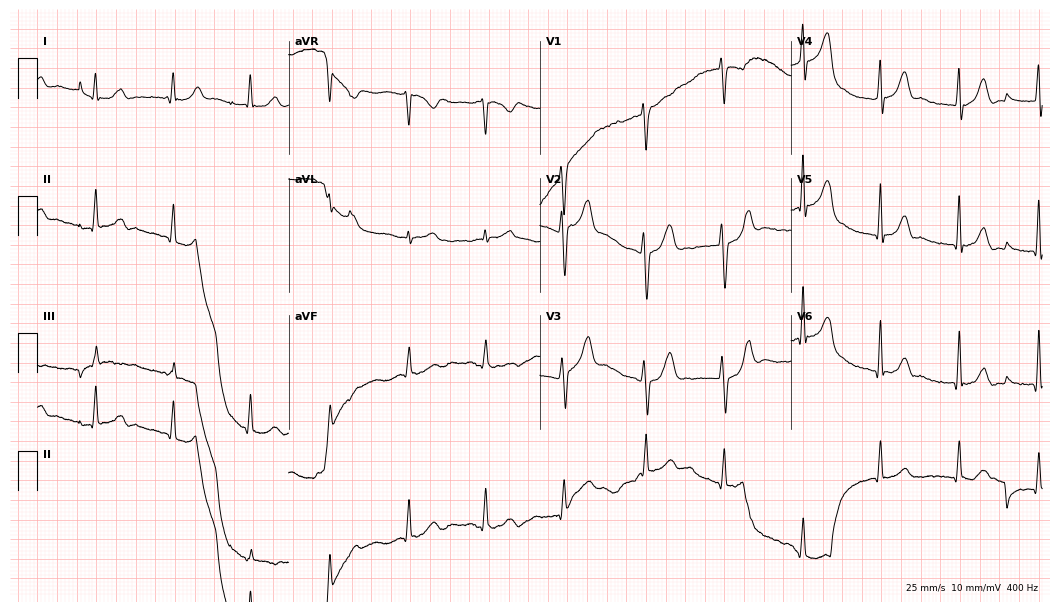
ECG — a 38-year-old male. Screened for six findings — first-degree AV block, right bundle branch block, left bundle branch block, sinus bradycardia, atrial fibrillation, sinus tachycardia — none is recorded.